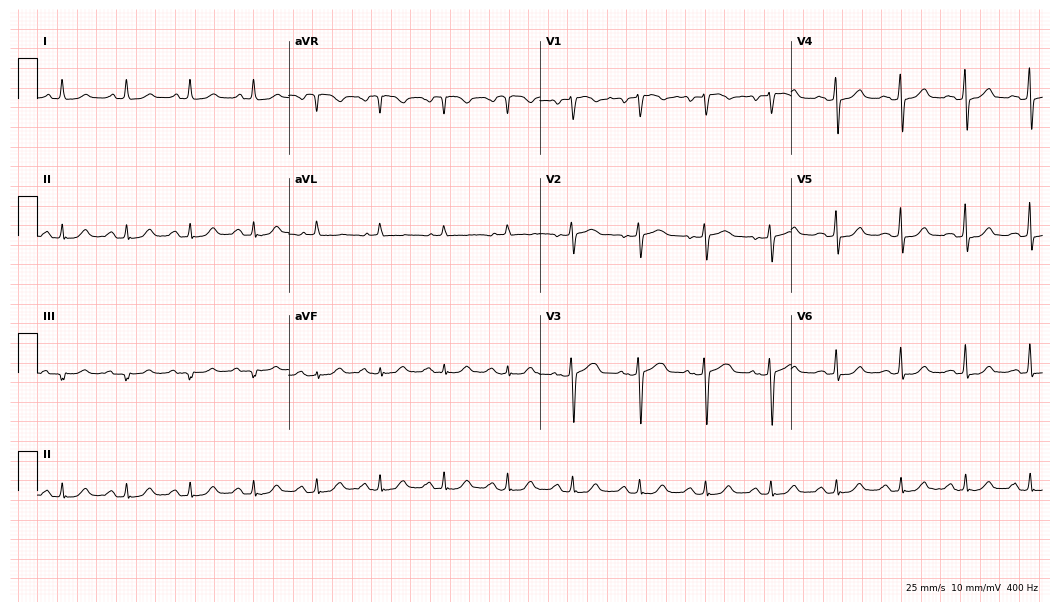
Resting 12-lead electrocardiogram. Patient: a male, 58 years old. Read as a normal ECG.